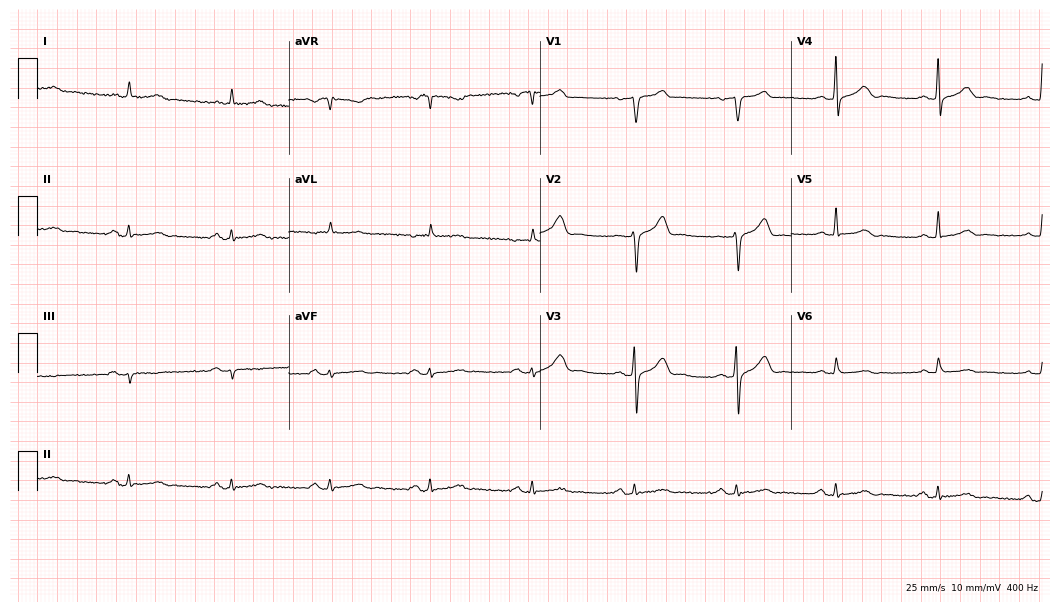
12-lead ECG from a 61-year-old man. Recorded interpretation: within normal limits.